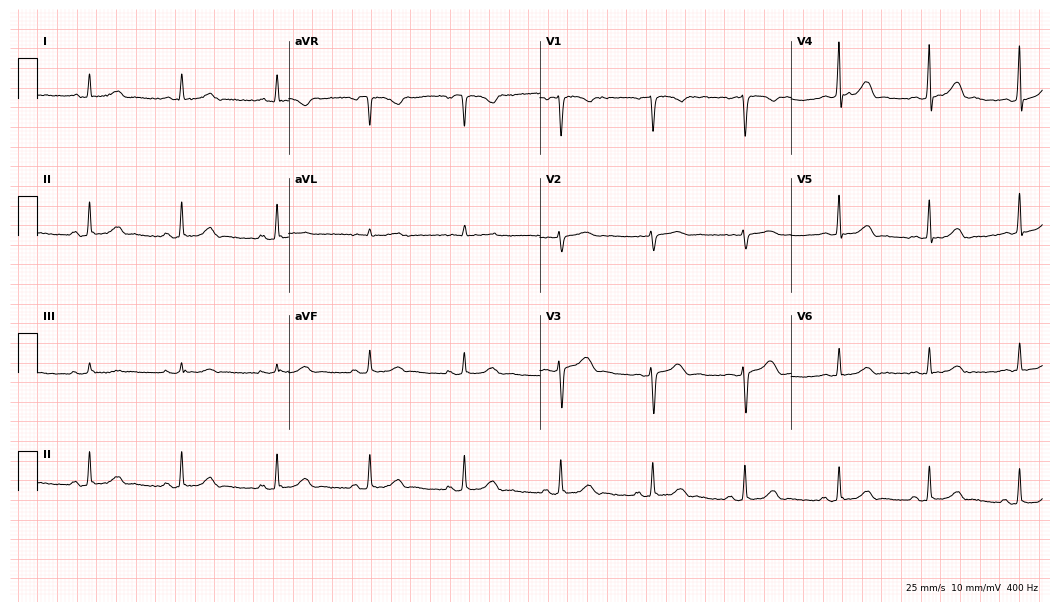
ECG — a female patient, 32 years old. Labelled as a normal ECG.